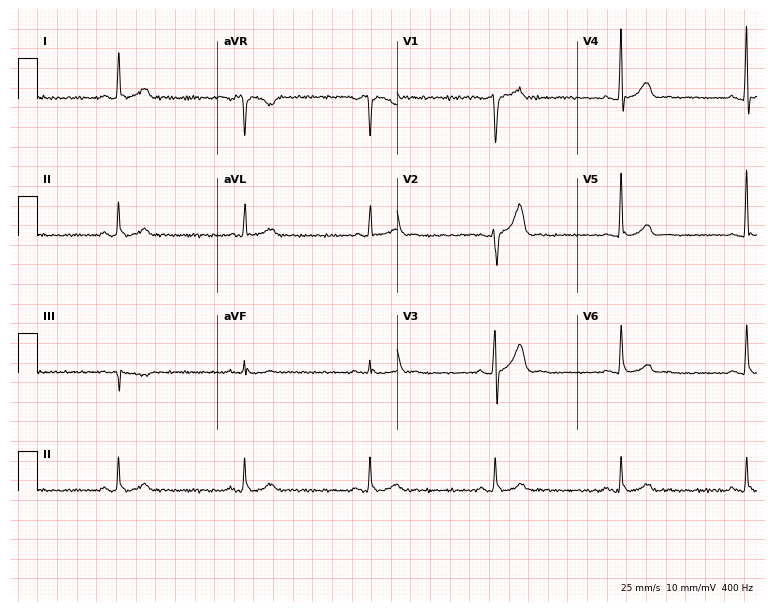
12-lead ECG from a 53-year-old male patient. No first-degree AV block, right bundle branch block, left bundle branch block, sinus bradycardia, atrial fibrillation or sinus tachycardia recorded for this tracing. Only these six findings were labelled.